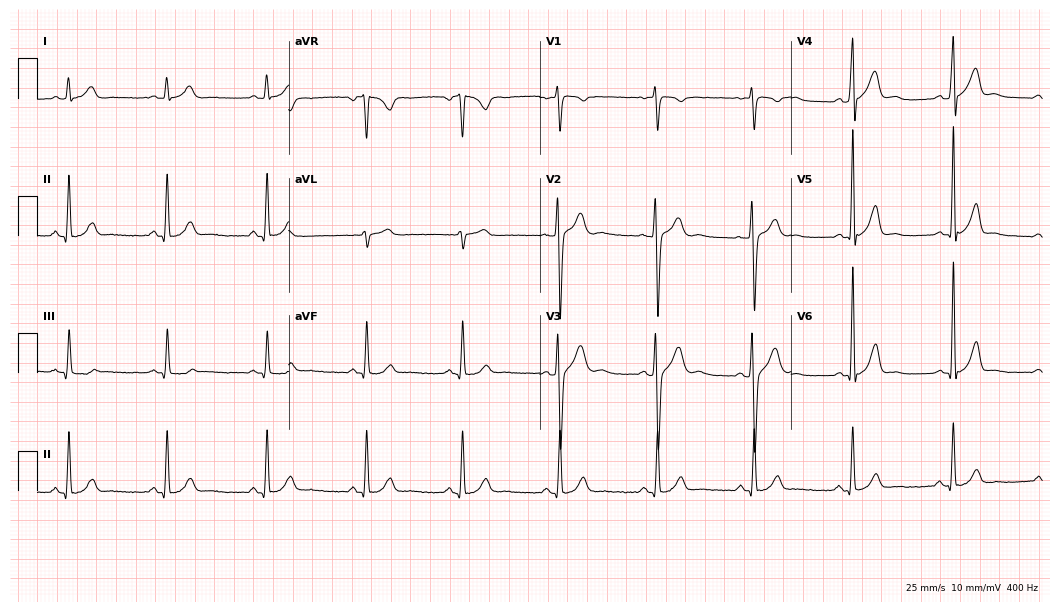
Resting 12-lead electrocardiogram (10.2-second recording at 400 Hz). Patient: a woman, 28 years old. Read as a normal ECG.